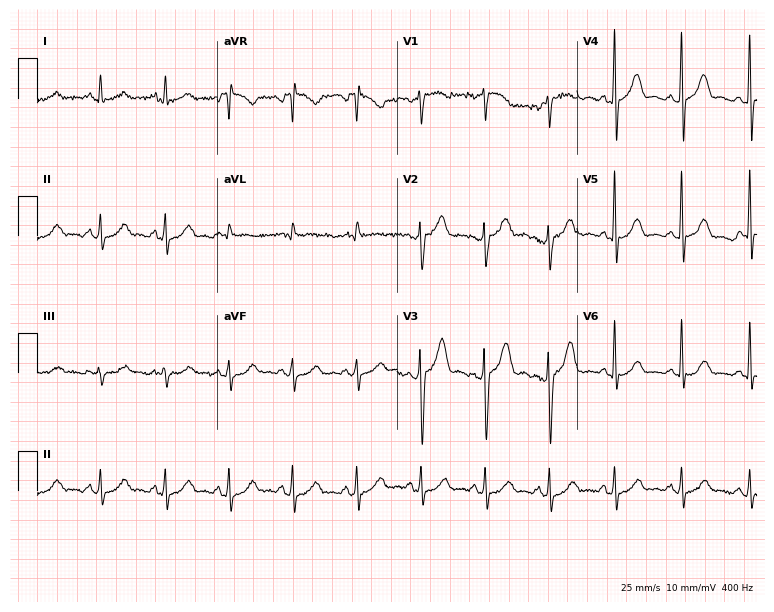
Electrocardiogram (7.3-second recording at 400 Hz), a male patient, 46 years old. Of the six screened findings (first-degree AV block, right bundle branch block, left bundle branch block, sinus bradycardia, atrial fibrillation, sinus tachycardia), none is recorded. Other findings, if any, are not listed.